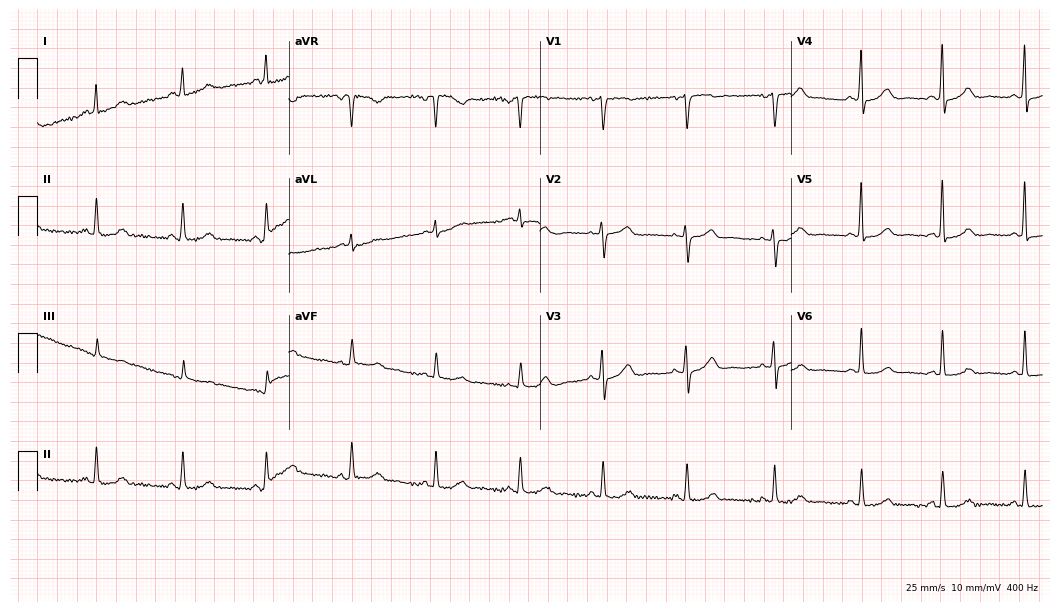
ECG — a 51-year-old female patient. Labelled as a normal ECG.